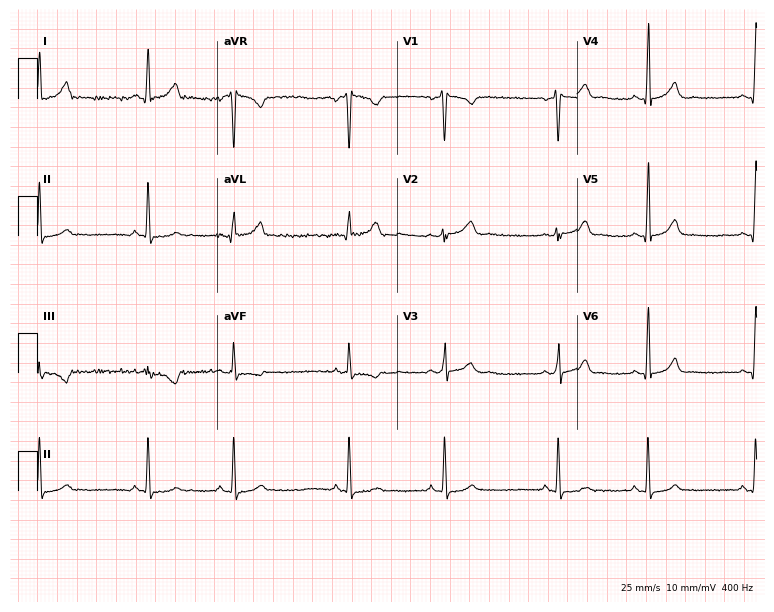
Electrocardiogram, a 24-year-old female patient. Overall reading on record: normal ECG.